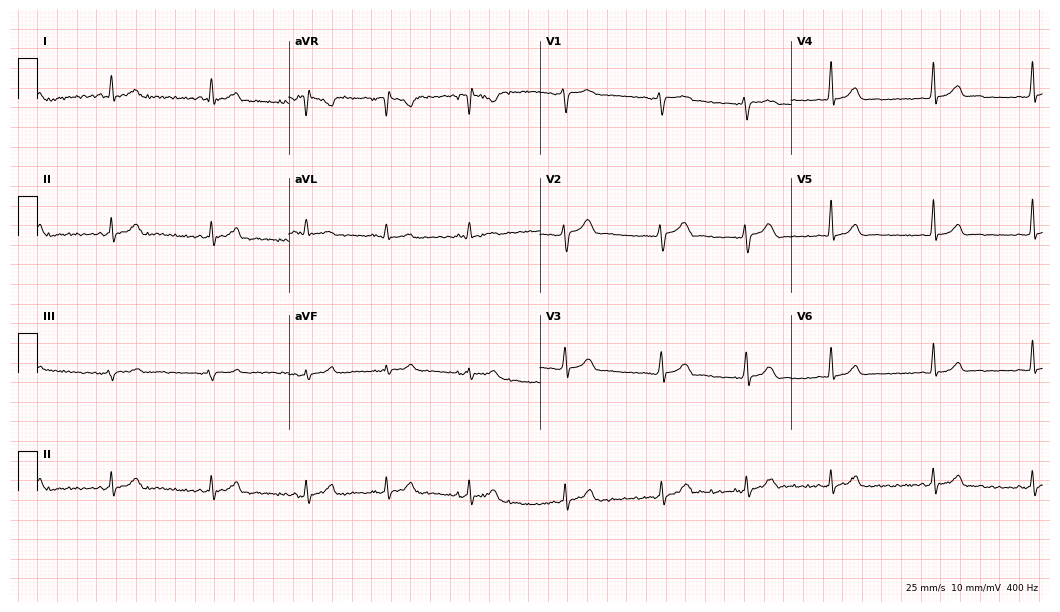
Standard 12-lead ECG recorded from a 28-year-old woman (10.2-second recording at 400 Hz). Read as a normal ECG.